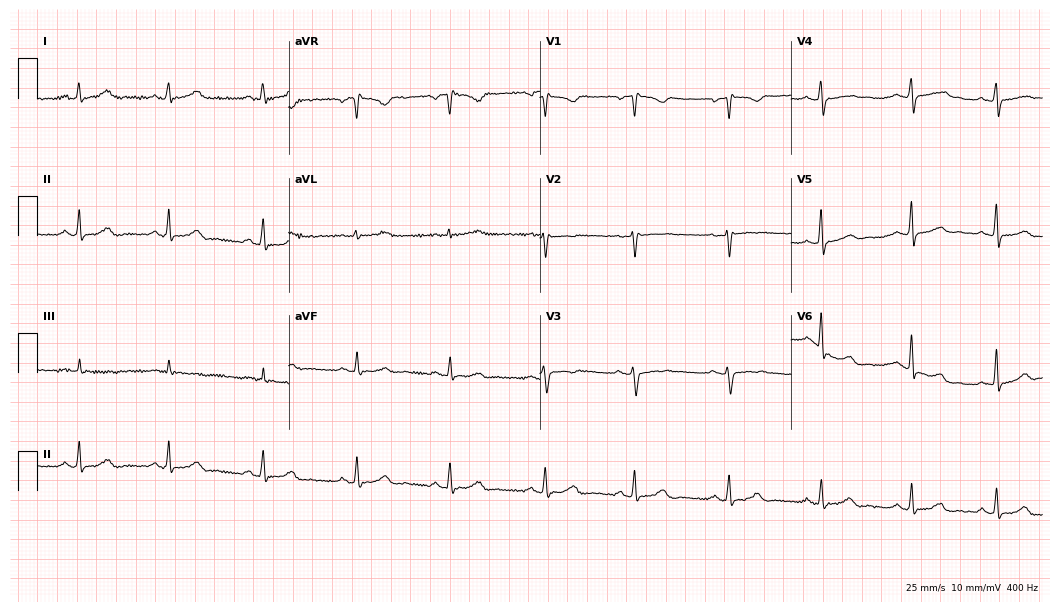
Standard 12-lead ECG recorded from a 29-year-old female (10.2-second recording at 400 Hz). Read as a normal ECG.